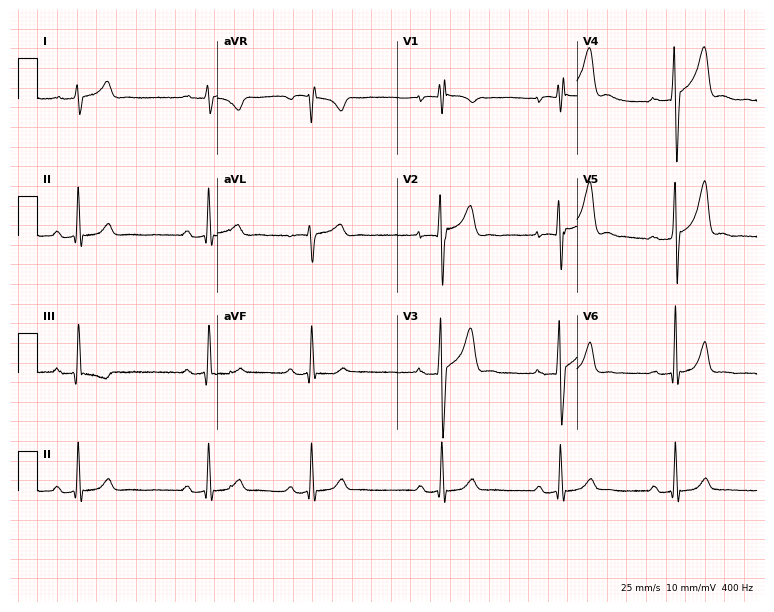
Electrocardiogram (7.3-second recording at 400 Hz), a male patient, 25 years old. Overall reading on record: normal ECG.